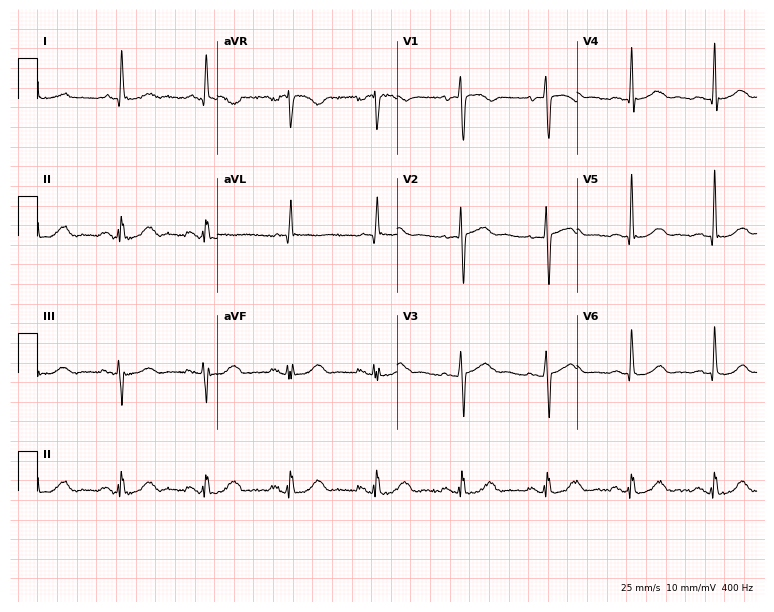
Resting 12-lead electrocardiogram (7.3-second recording at 400 Hz). Patient: a 71-year-old female. None of these six findings is recorded: first-degree AV block, right bundle branch block, left bundle branch block, sinus bradycardia, atrial fibrillation, sinus tachycardia. Findings outside these six are not listed.